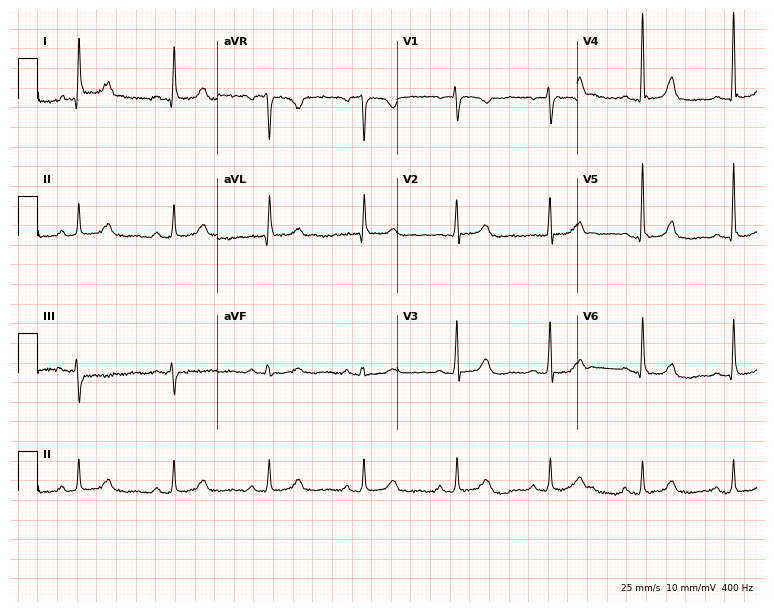
ECG (7.3-second recording at 400 Hz) — a 56-year-old female. Screened for six findings — first-degree AV block, right bundle branch block, left bundle branch block, sinus bradycardia, atrial fibrillation, sinus tachycardia — none is recorded. Other findings, if any, are not listed.